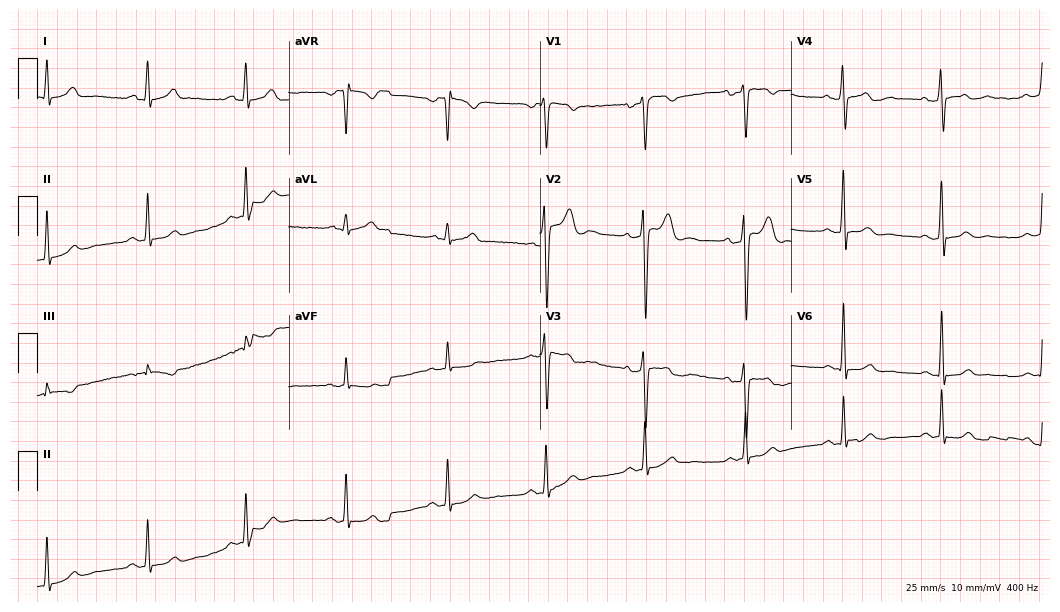
Resting 12-lead electrocardiogram (10.2-second recording at 400 Hz). Patient: a 39-year-old man. None of these six findings is recorded: first-degree AV block, right bundle branch block (RBBB), left bundle branch block (LBBB), sinus bradycardia, atrial fibrillation (AF), sinus tachycardia. Other findings, if any, are not listed.